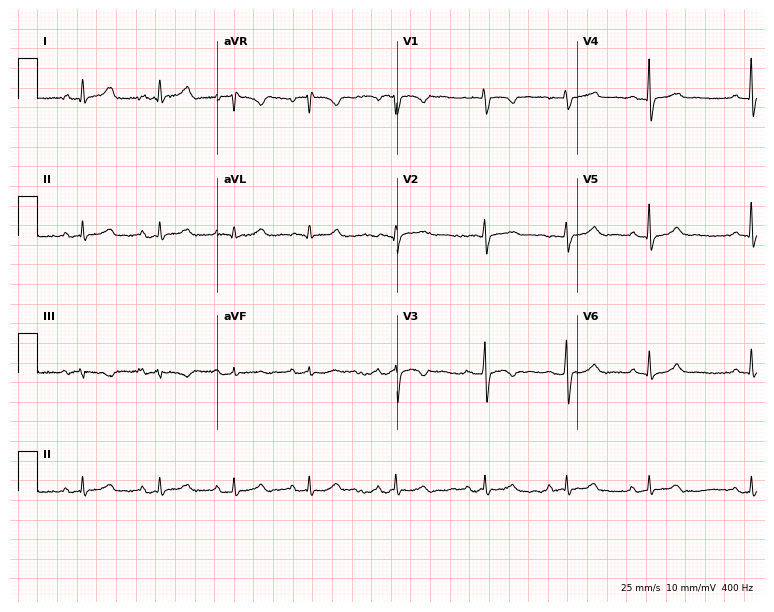
Electrocardiogram (7.3-second recording at 400 Hz), a female, 28 years old. Overall reading on record: normal ECG.